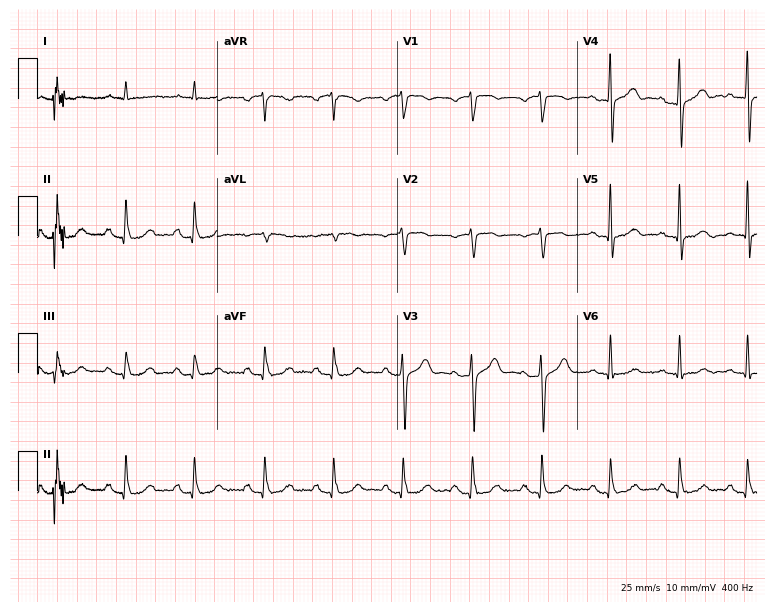
12-lead ECG from a 79-year-old male patient. Screened for six findings — first-degree AV block, right bundle branch block, left bundle branch block, sinus bradycardia, atrial fibrillation, sinus tachycardia — none is recorded. Findings outside these six are not listed.